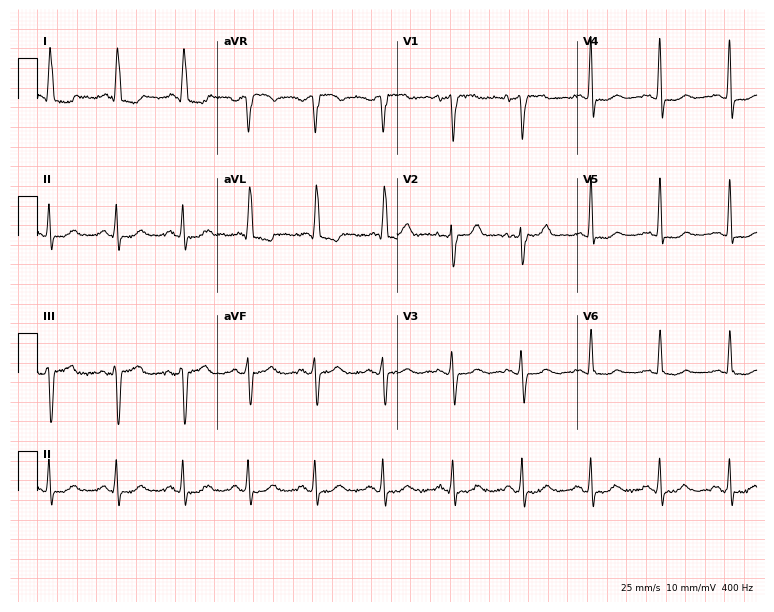
12-lead ECG from a female patient, 82 years old (7.3-second recording at 400 Hz). No first-degree AV block, right bundle branch block, left bundle branch block, sinus bradycardia, atrial fibrillation or sinus tachycardia recorded for this tracing.